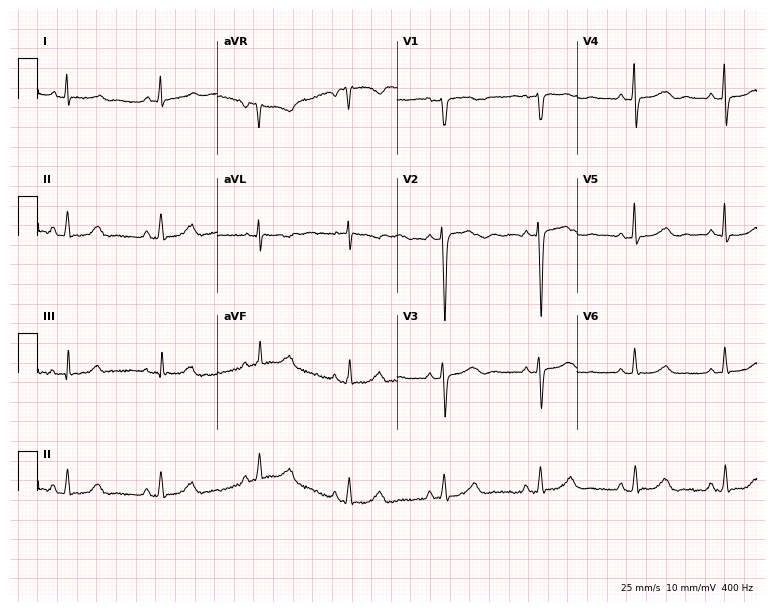
Resting 12-lead electrocardiogram (7.3-second recording at 400 Hz). Patient: a female, 69 years old. Read as a normal ECG.